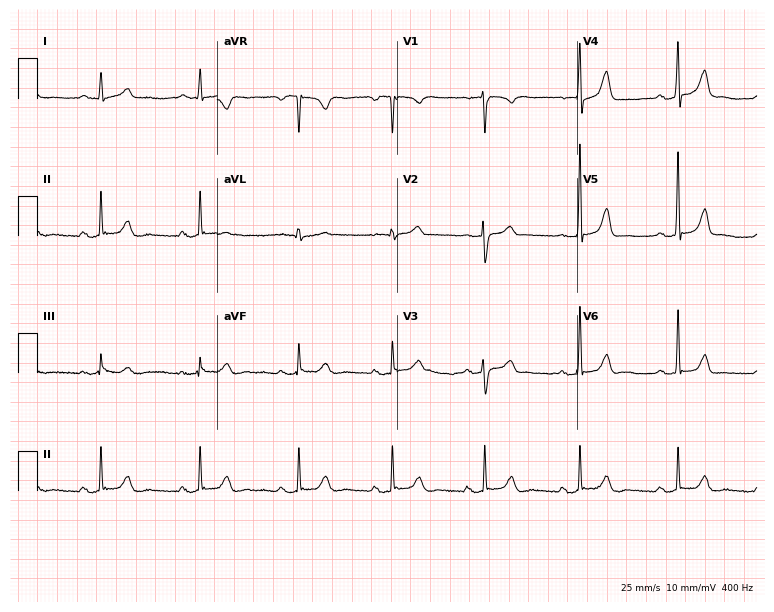
Standard 12-lead ECG recorded from a 43-year-old female patient. Read as a normal ECG.